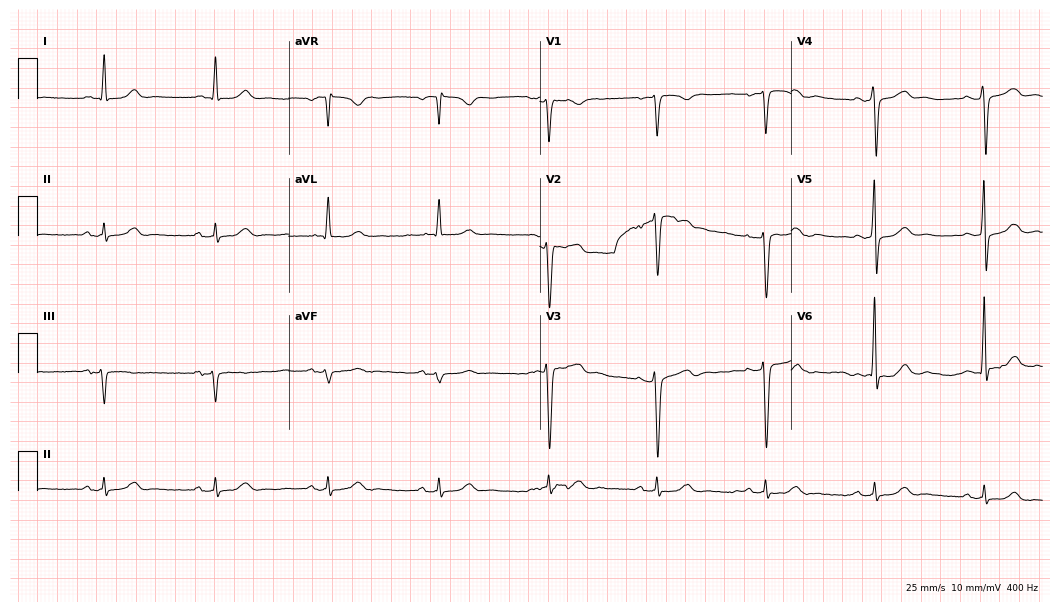
Electrocardiogram (10.2-second recording at 400 Hz), a 73-year-old man. Of the six screened findings (first-degree AV block, right bundle branch block, left bundle branch block, sinus bradycardia, atrial fibrillation, sinus tachycardia), none is recorded. Findings outside these six are not listed.